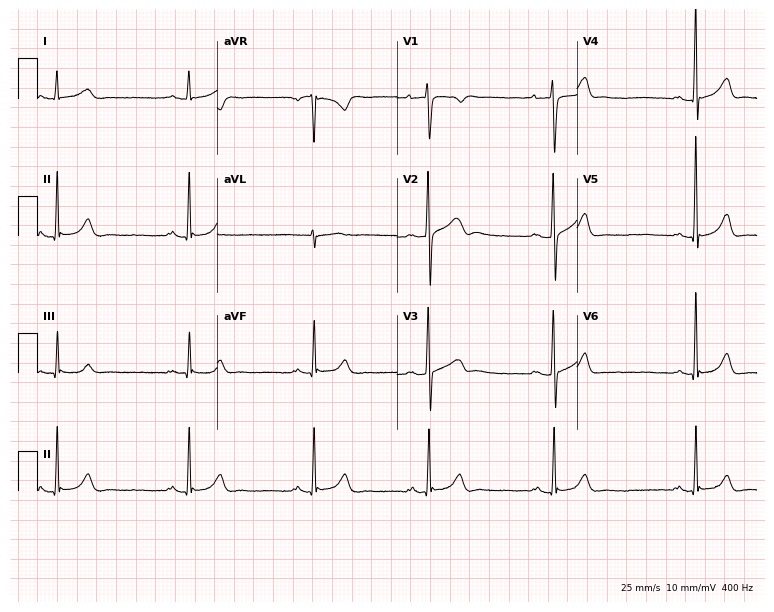
Standard 12-lead ECG recorded from a man, 29 years old (7.3-second recording at 400 Hz). The tracing shows sinus bradycardia (a sinus rate of 50 beats per minute or less).